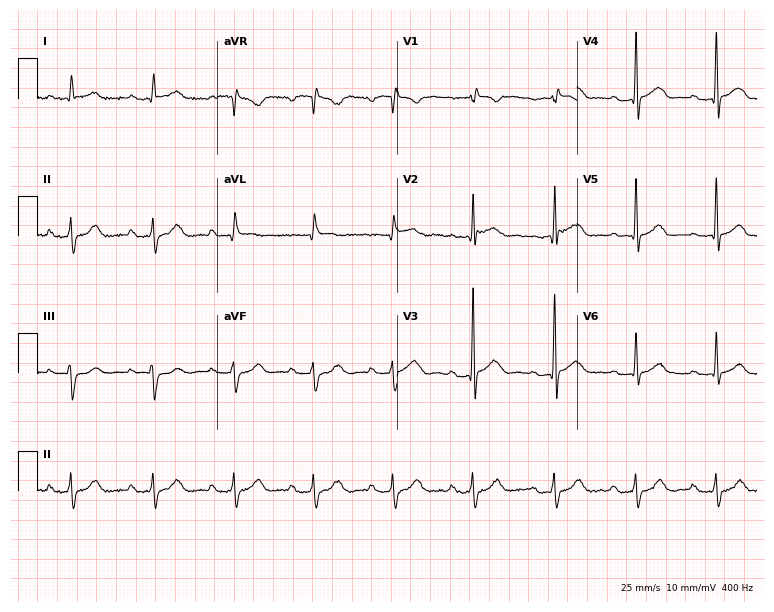
12-lead ECG from a man, 71 years old. Shows first-degree AV block.